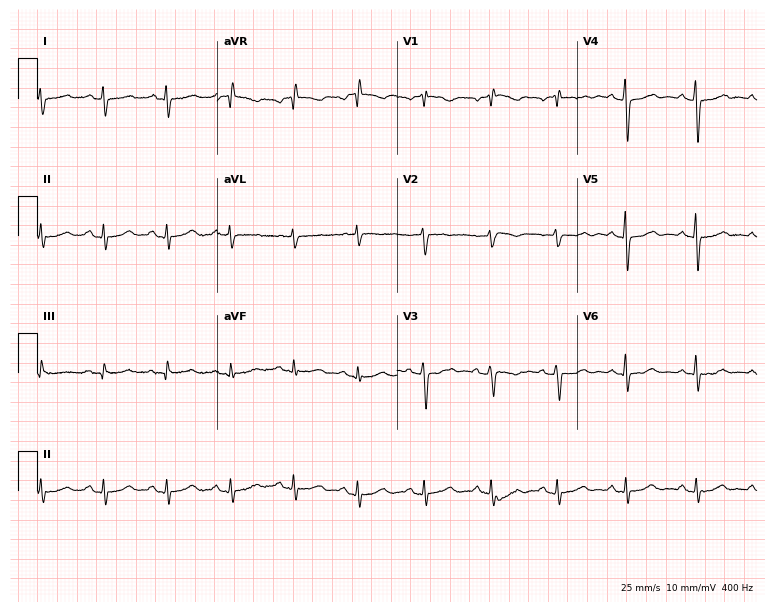
Electrocardiogram (7.3-second recording at 400 Hz), a female patient, 62 years old. Of the six screened findings (first-degree AV block, right bundle branch block (RBBB), left bundle branch block (LBBB), sinus bradycardia, atrial fibrillation (AF), sinus tachycardia), none is recorded.